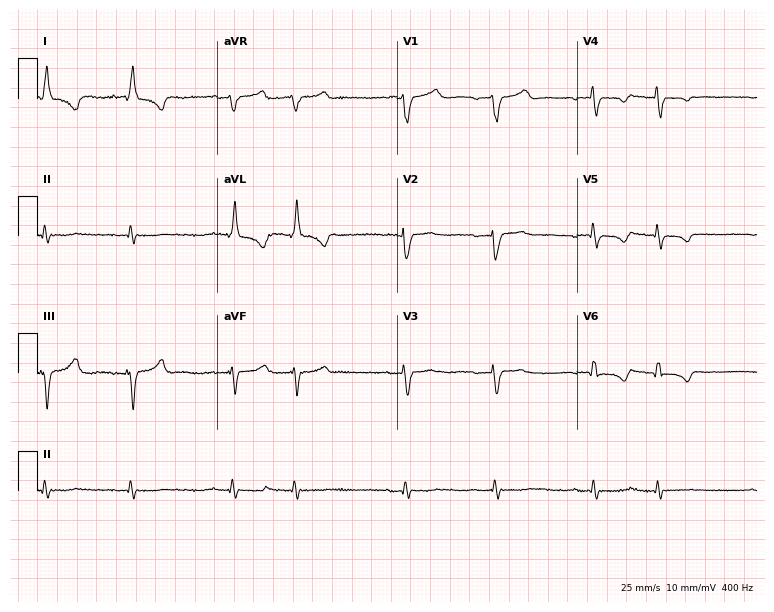
Standard 12-lead ECG recorded from an 85-year-old man (7.3-second recording at 400 Hz). The tracing shows left bundle branch block.